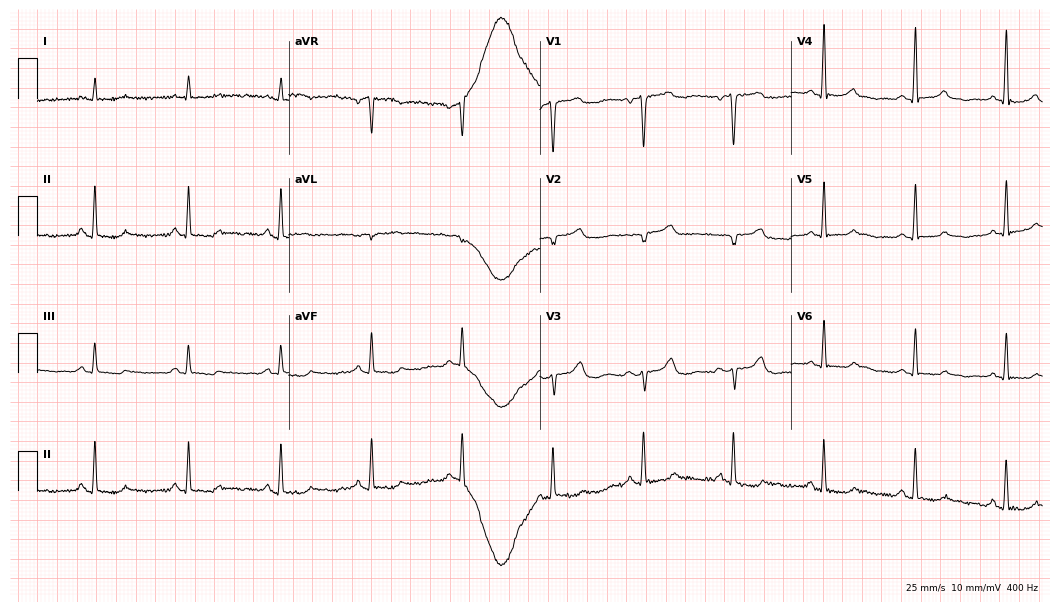
Standard 12-lead ECG recorded from a male, 63 years old (10.2-second recording at 400 Hz). Read as a normal ECG.